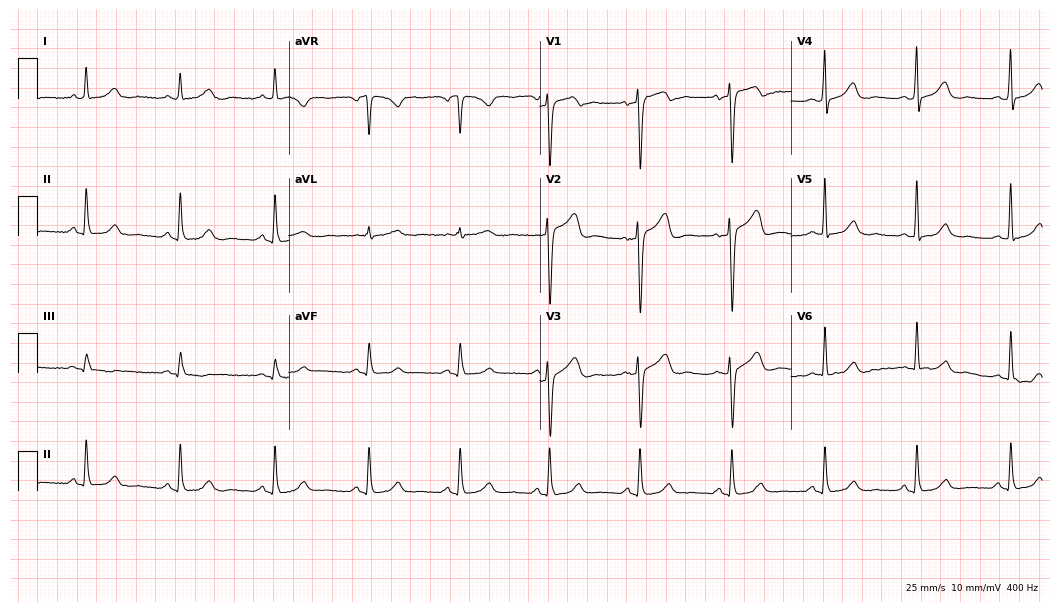
Electrocardiogram (10.2-second recording at 400 Hz), a male, 61 years old. Overall reading on record: normal ECG.